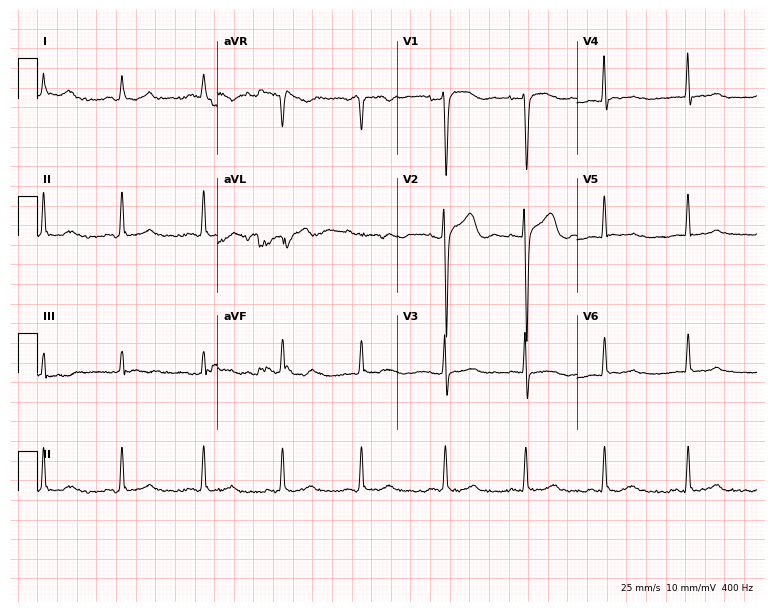
Resting 12-lead electrocardiogram (7.3-second recording at 400 Hz). Patient: a female, 39 years old. None of these six findings is recorded: first-degree AV block, right bundle branch block, left bundle branch block, sinus bradycardia, atrial fibrillation, sinus tachycardia.